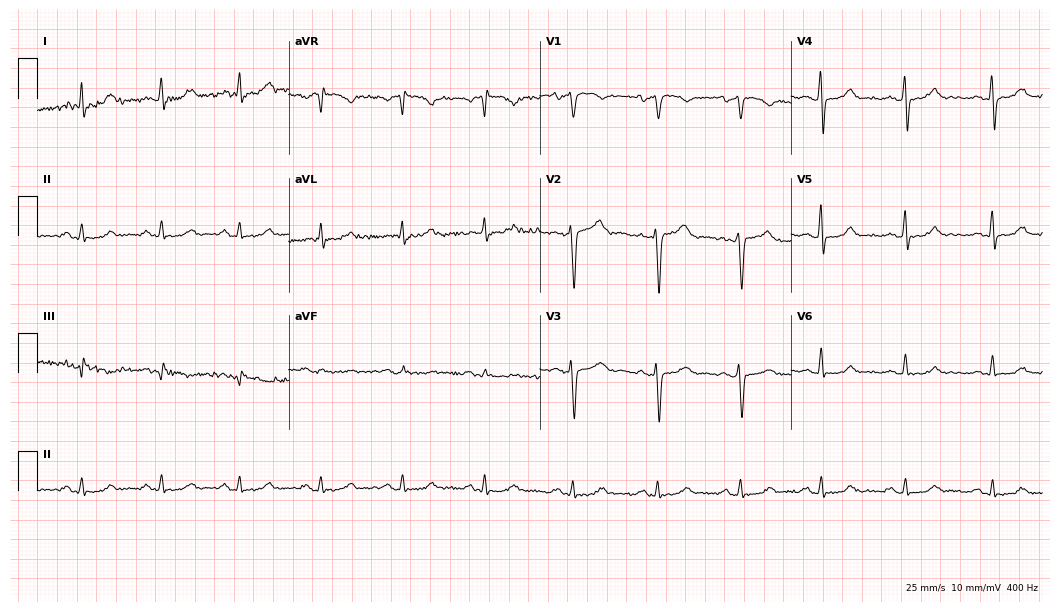
ECG — a female patient, 47 years old. Labelled as a normal ECG.